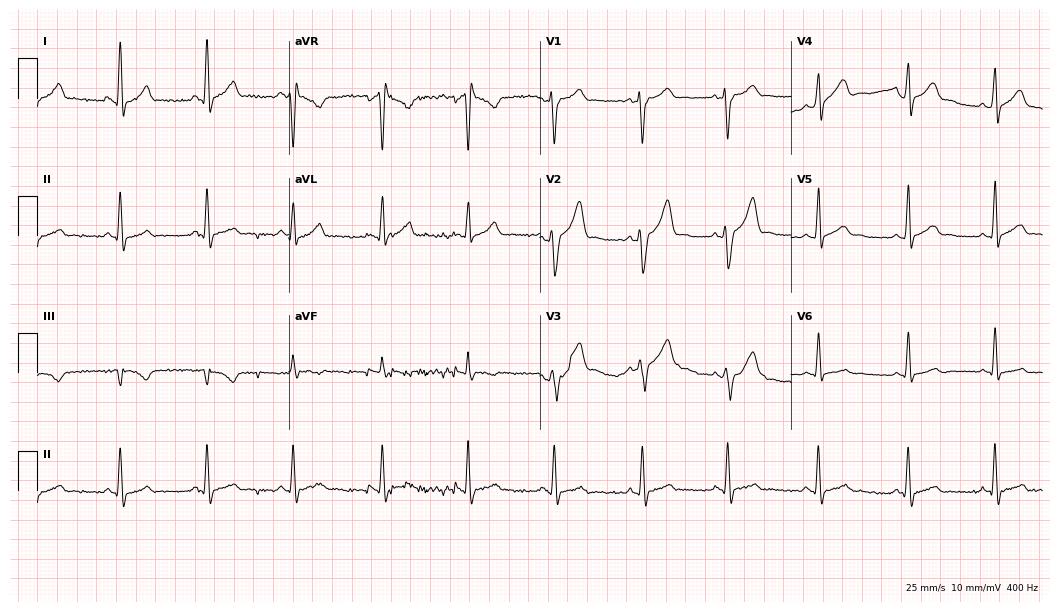
Electrocardiogram (10.2-second recording at 400 Hz), a male, 22 years old. Of the six screened findings (first-degree AV block, right bundle branch block, left bundle branch block, sinus bradycardia, atrial fibrillation, sinus tachycardia), none is recorded.